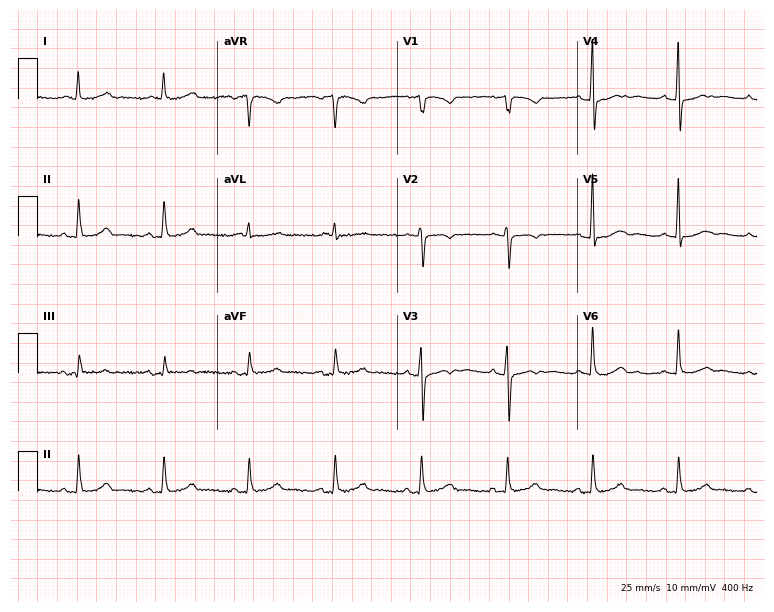
ECG — a 69-year-old female. Labelled as a normal ECG.